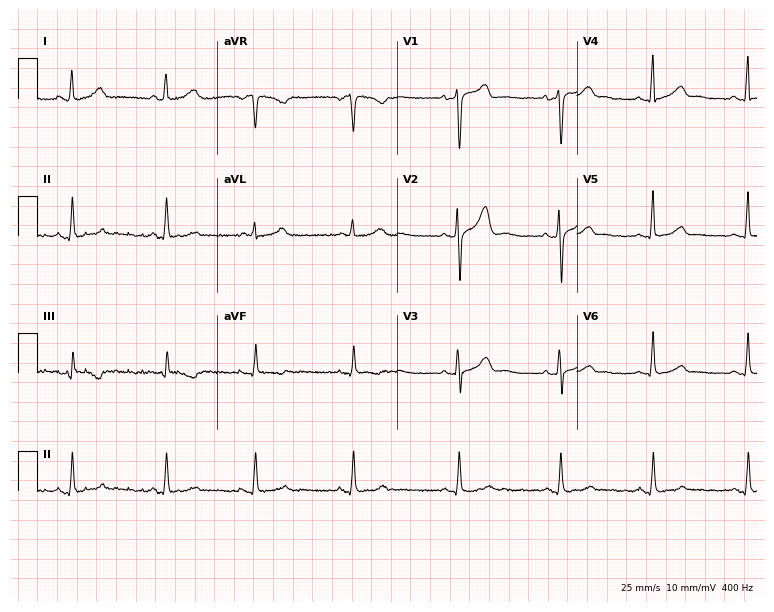
ECG (7.3-second recording at 400 Hz) — a female patient, 48 years old. Labelled as a normal ECG.